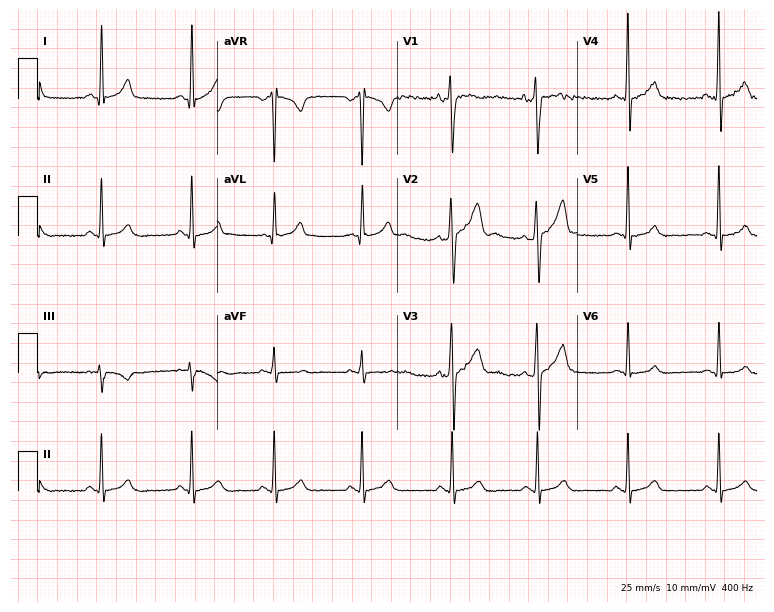
Resting 12-lead electrocardiogram. Patient: a man, 26 years old. Read as a normal ECG.